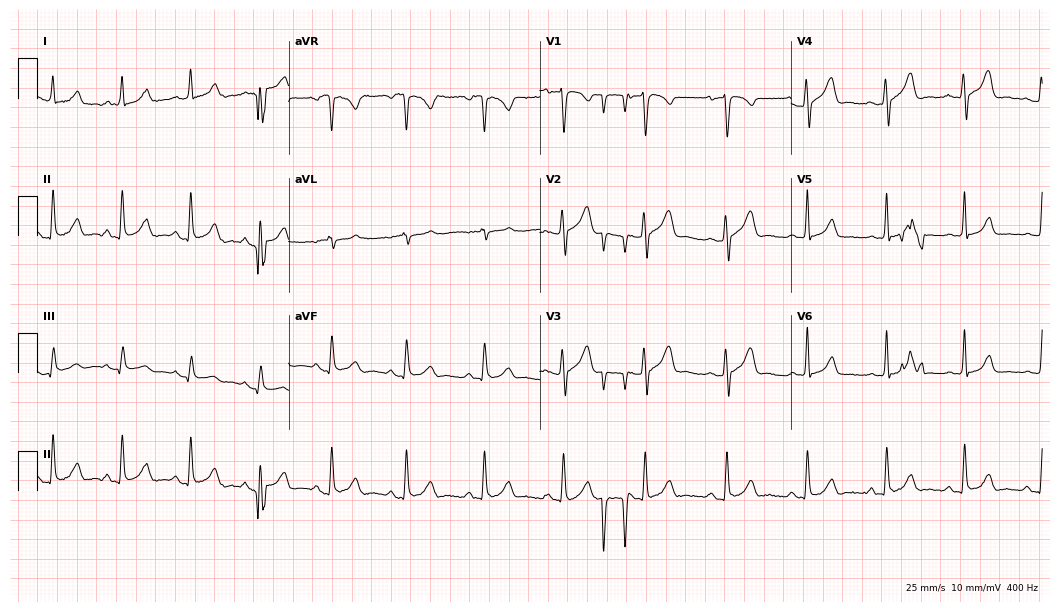
Standard 12-lead ECG recorded from a 35-year-old male (10.2-second recording at 400 Hz). Read as a normal ECG.